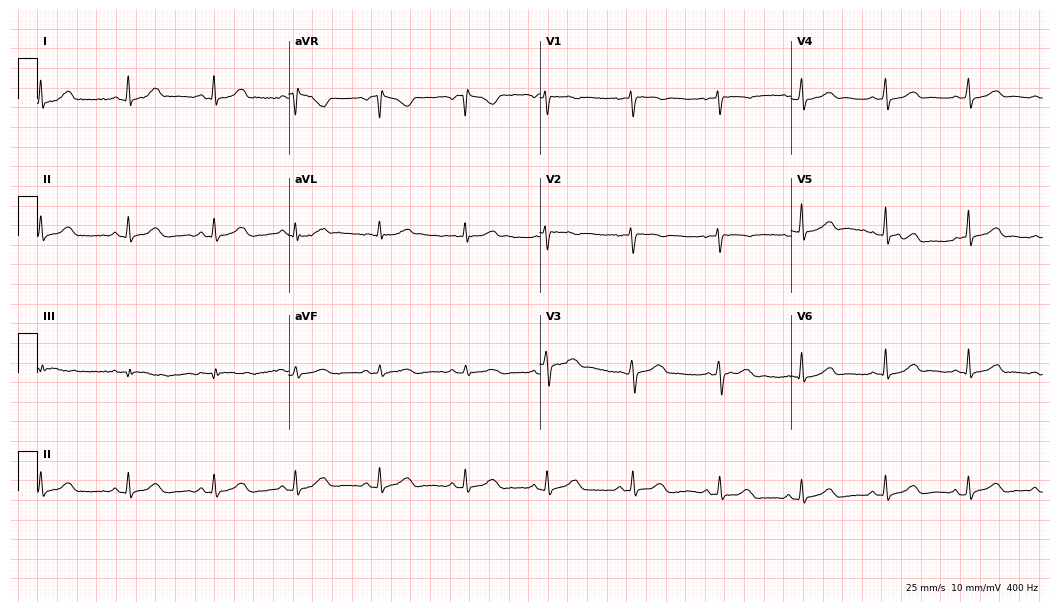
12-lead ECG from a female, 38 years old (10.2-second recording at 400 Hz). Recorded interpretation: within normal limits.